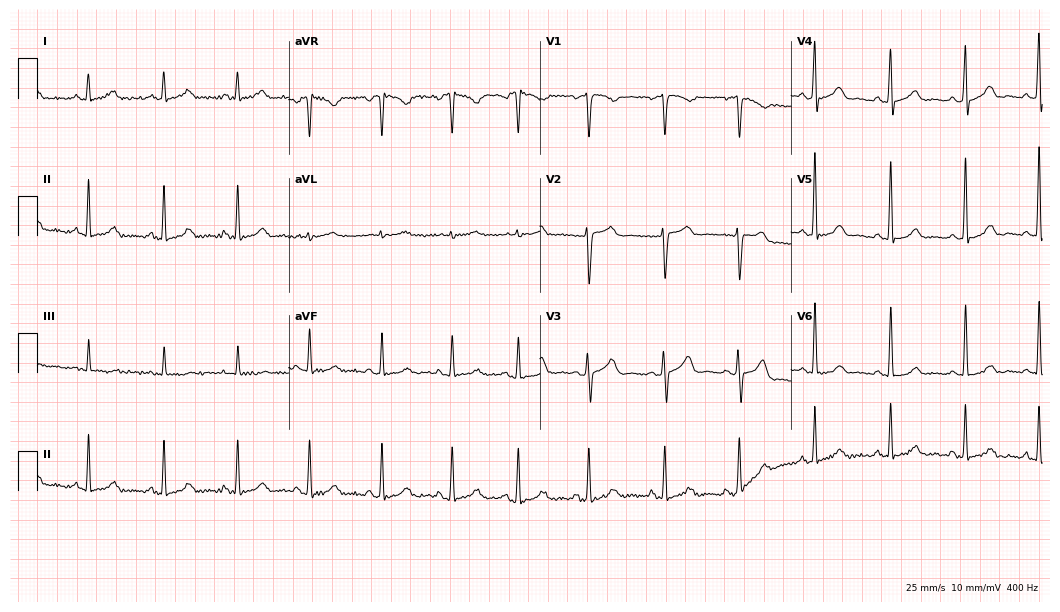
Standard 12-lead ECG recorded from a woman, 54 years old (10.2-second recording at 400 Hz). None of these six findings is recorded: first-degree AV block, right bundle branch block, left bundle branch block, sinus bradycardia, atrial fibrillation, sinus tachycardia. Other findings, if any, are not listed.